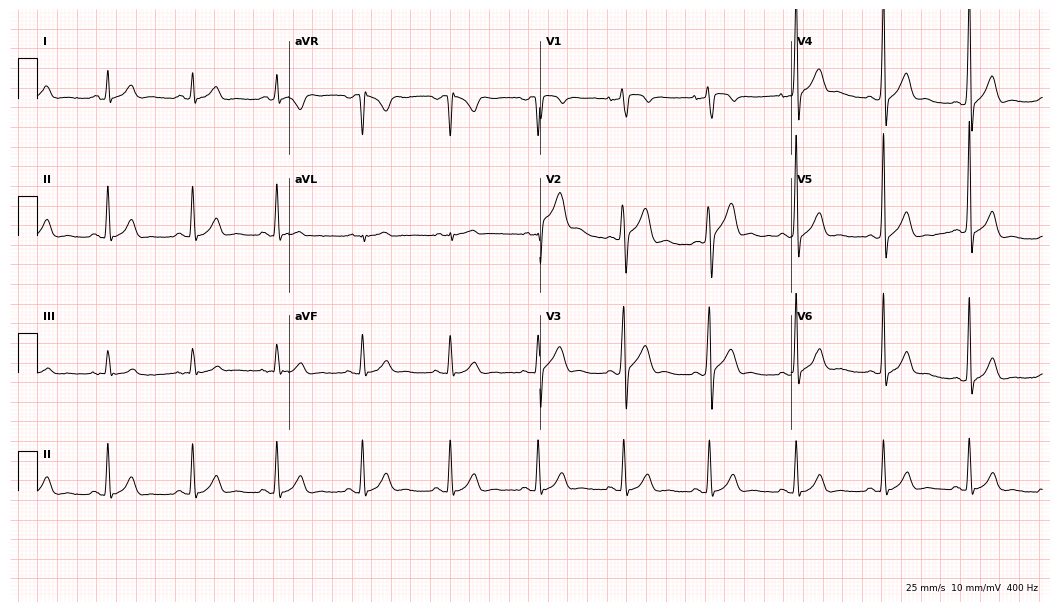
Resting 12-lead electrocardiogram. Patient: a male, 38 years old. Read as a normal ECG.